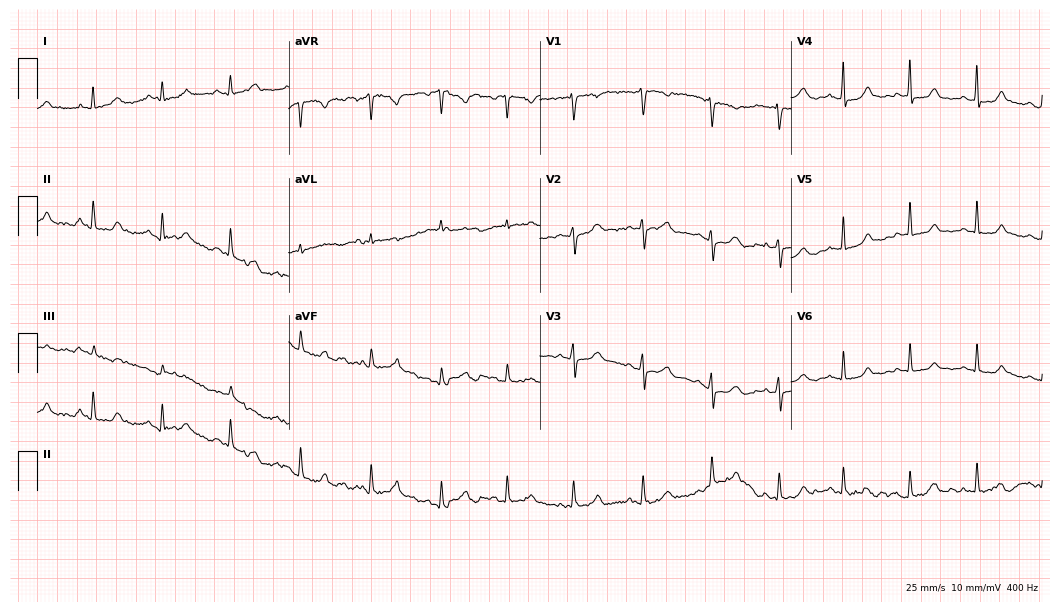
Resting 12-lead electrocardiogram (10.2-second recording at 400 Hz). Patient: a 37-year-old woman. None of these six findings is recorded: first-degree AV block, right bundle branch block, left bundle branch block, sinus bradycardia, atrial fibrillation, sinus tachycardia.